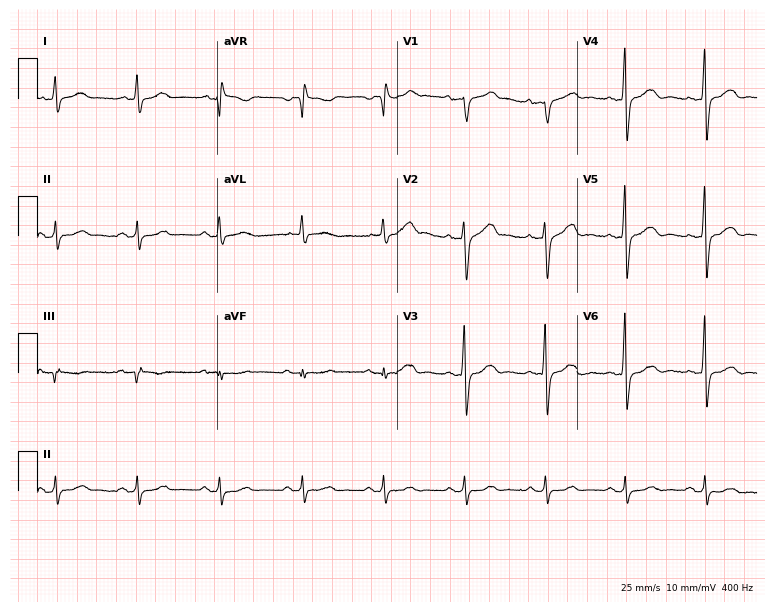
Resting 12-lead electrocardiogram (7.3-second recording at 400 Hz). Patient: a 68-year-old man. Read as a normal ECG.